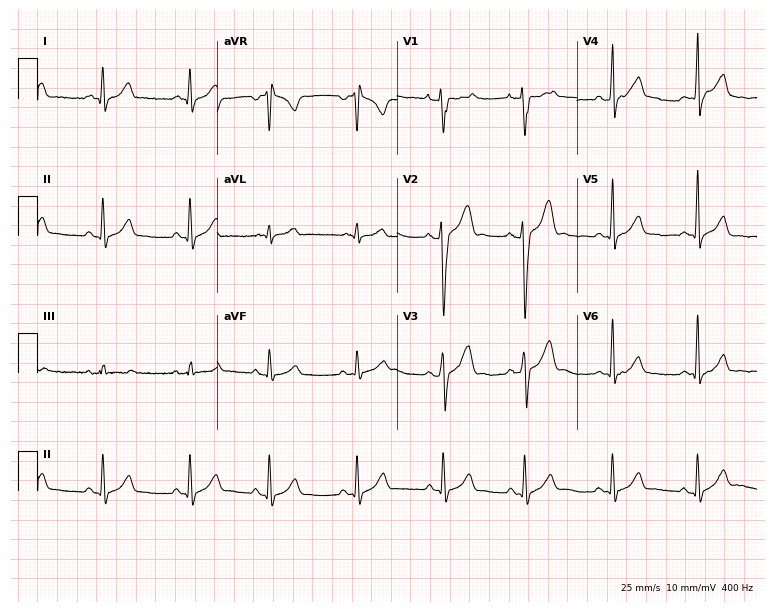
Standard 12-lead ECG recorded from a 22-year-old man (7.3-second recording at 400 Hz). Read as a normal ECG.